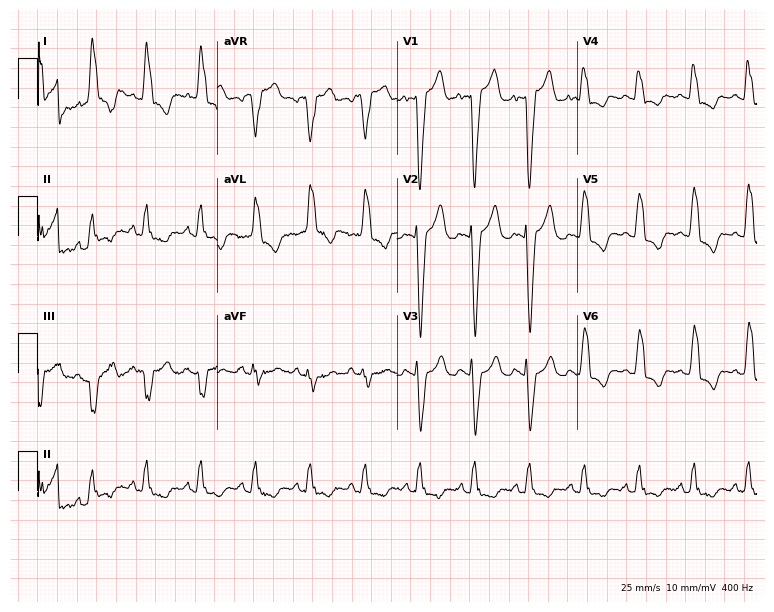
Electrocardiogram, a female, 83 years old. Interpretation includes left bundle branch block, sinus tachycardia (a sinus rate of 100 beats per minute or more).